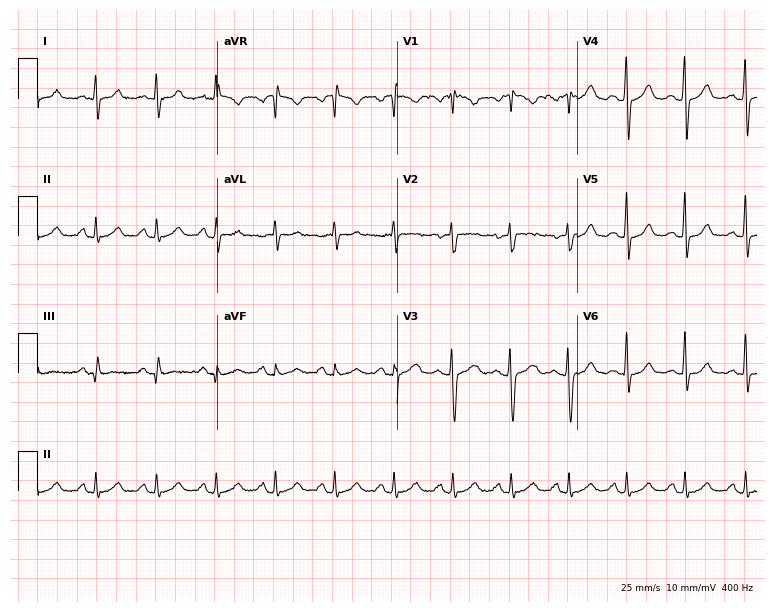
12-lead ECG from a 34-year-old female patient. Screened for six findings — first-degree AV block, right bundle branch block (RBBB), left bundle branch block (LBBB), sinus bradycardia, atrial fibrillation (AF), sinus tachycardia — none is recorded. Findings outside these six are not listed.